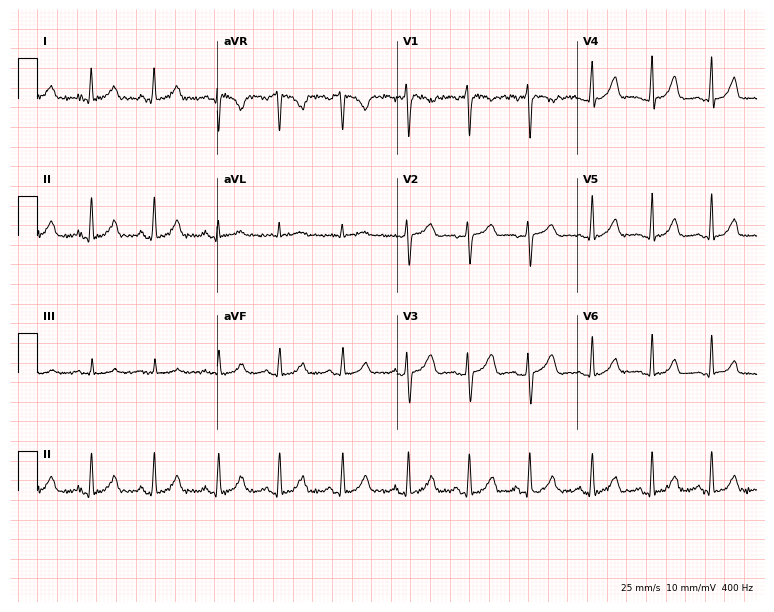
Standard 12-lead ECG recorded from a 22-year-old female. None of these six findings is recorded: first-degree AV block, right bundle branch block, left bundle branch block, sinus bradycardia, atrial fibrillation, sinus tachycardia. Only these six findings were labelled.